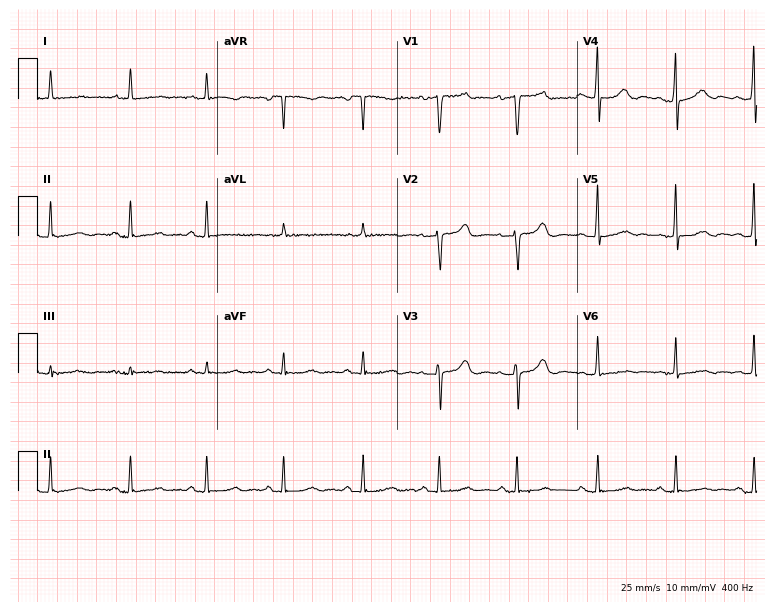
Electrocardiogram, a 60-year-old female patient. Overall reading on record: normal ECG.